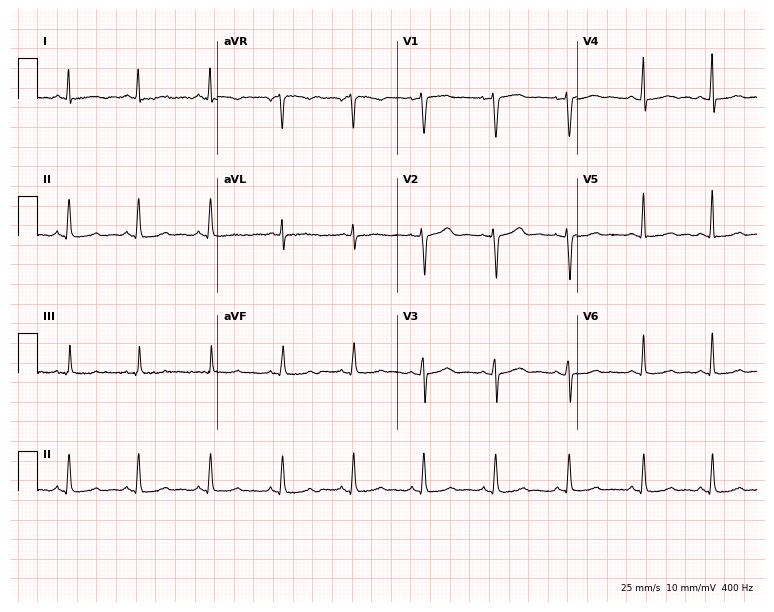
Standard 12-lead ECG recorded from a 41-year-old woman (7.3-second recording at 400 Hz). Read as a normal ECG.